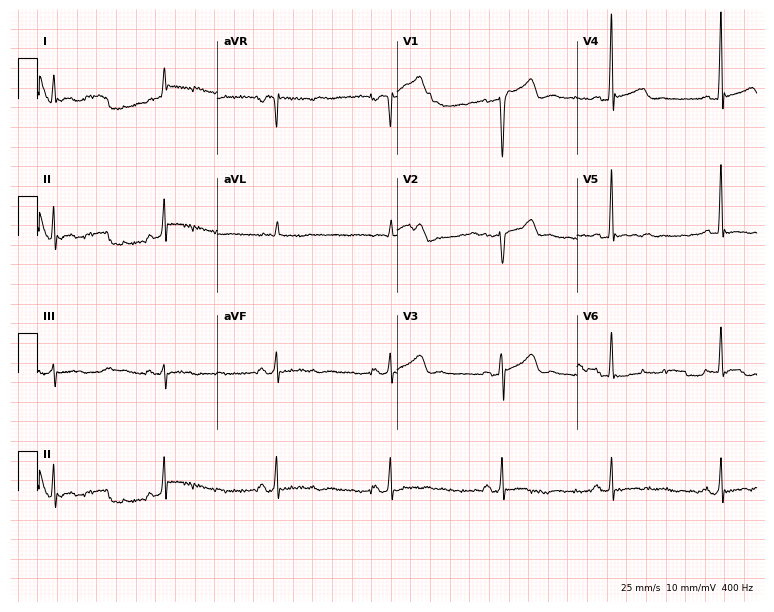
Resting 12-lead electrocardiogram (7.3-second recording at 400 Hz). Patient: a male, 39 years old. None of these six findings is recorded: first-degree AV block, right bundle branch block, left bundle branch block, sinus bradycardia, atrial fibrillation, sinus tachycardia.